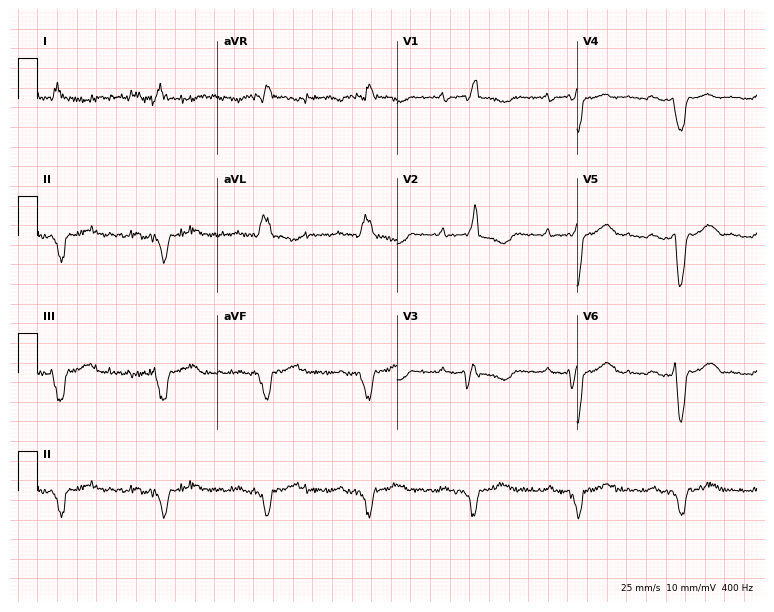
Electrocardiogram, a man, 38 years old. Interpretation includes first-degree AV block, right bundle branch block.